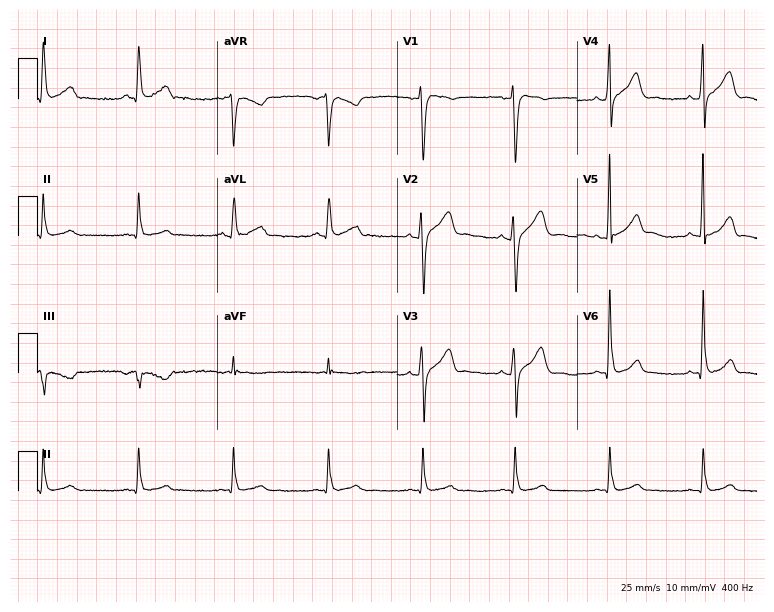
Standard 12-lead ECG recorded from a male patient, 48 years old (7.3-second recording at 400 Hz). Read as a normal ECG.